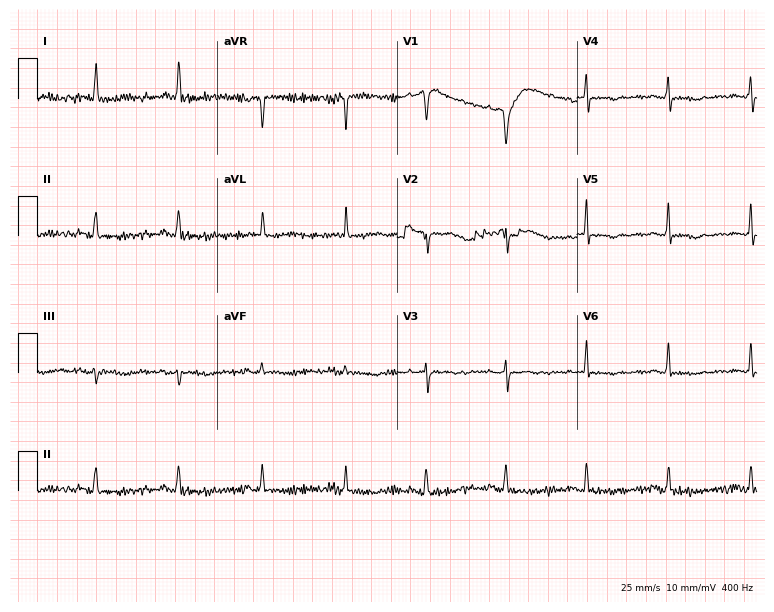
12-lead ECG from a 63-year-old female patient. Screened for six findings — first-degree AV block, right bundle branch block (RBBB), left bundle branch block (LBBB), sinus bradycardia, atrial fibrillation (AF), sinus tachycardia — none is recorded.